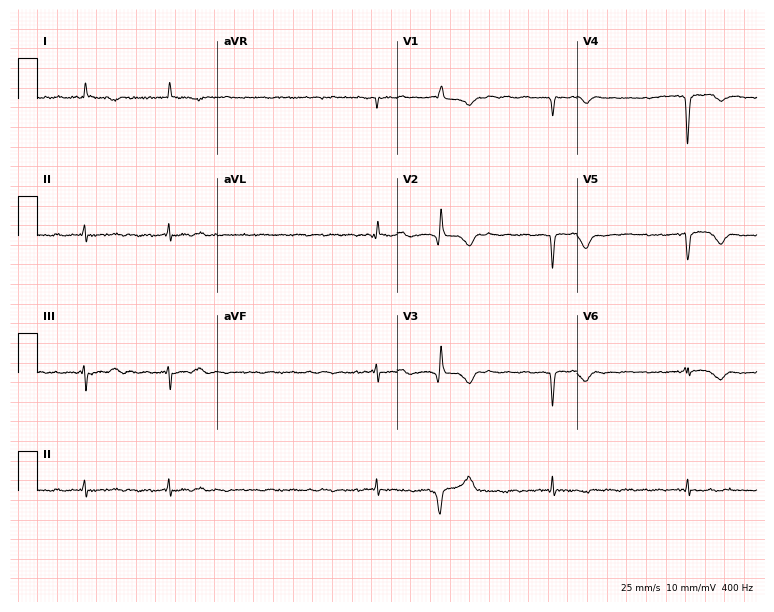
12-lead ECG (7.3-second recording at 400 Hz) from a woman, 80 years old. Findings include atrial fibrillation.